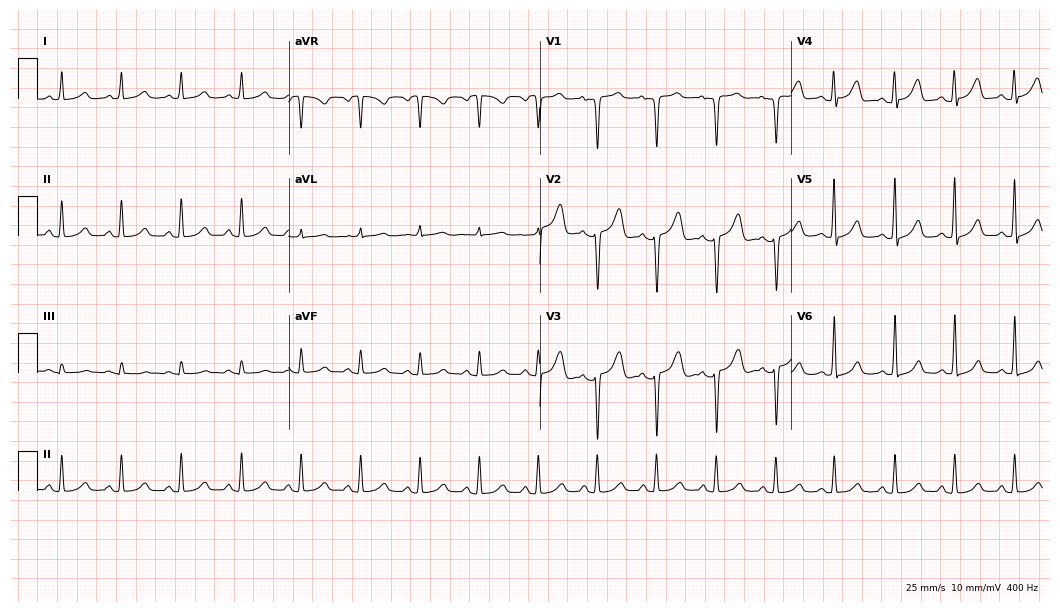
Resting 12-lead electrocardiogram. Patient: a 46-year-old female. Read as a normal ECG.